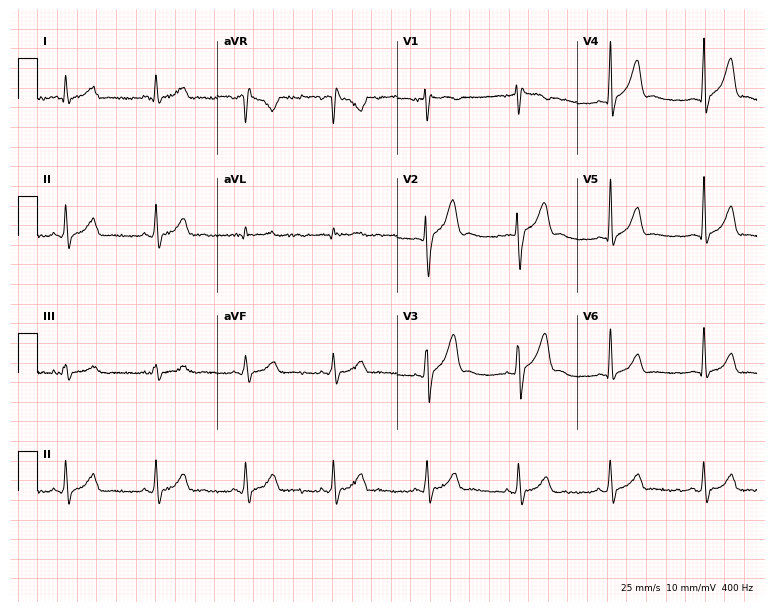
Standard 12-lead ECG recorded from a man, 19 years old (7.3-second recording at 400 Hz). None of these six findings is recorded: first-degree AV block, right bundle branch block (RBBB), left bundle branch block (LBBB), sinus bradycardia, atrial fibrillation (AF), sinus tachycardia. Only these six findings were labelled.